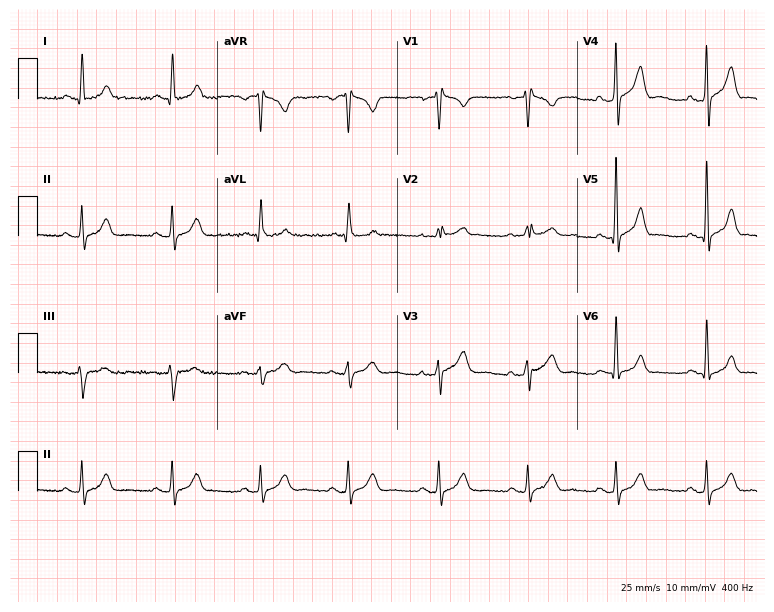
12-lead ECG from a 68-year-old man (7.3-second recording at 400 Hz). Recorded interpretation: within normal limits.